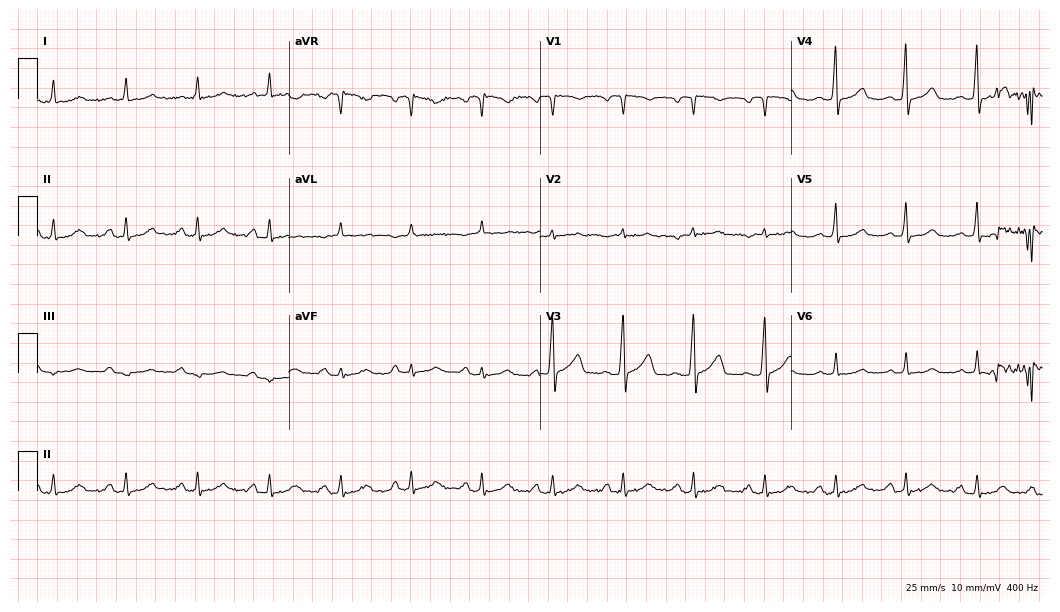
12-lead ECG (10.2-second recording at 400 Hz) from a male, 57 years old. Labelled as a normal ECG.